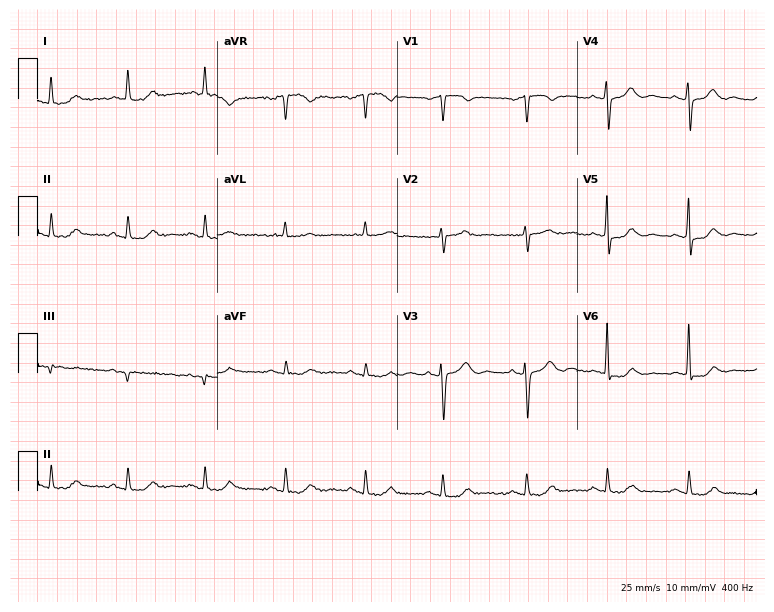
ECG (7.3-second recording at 400 Hz) — a man, 78 years old. Screened for six findings — first-degree AV block, right bundle branch block (RBBB), left bundle branch block (LBBB), sinus bradycardia, atrial fibrillation (AF), sinus tachycardia — none is recorded. Findings outside these six are not listed.